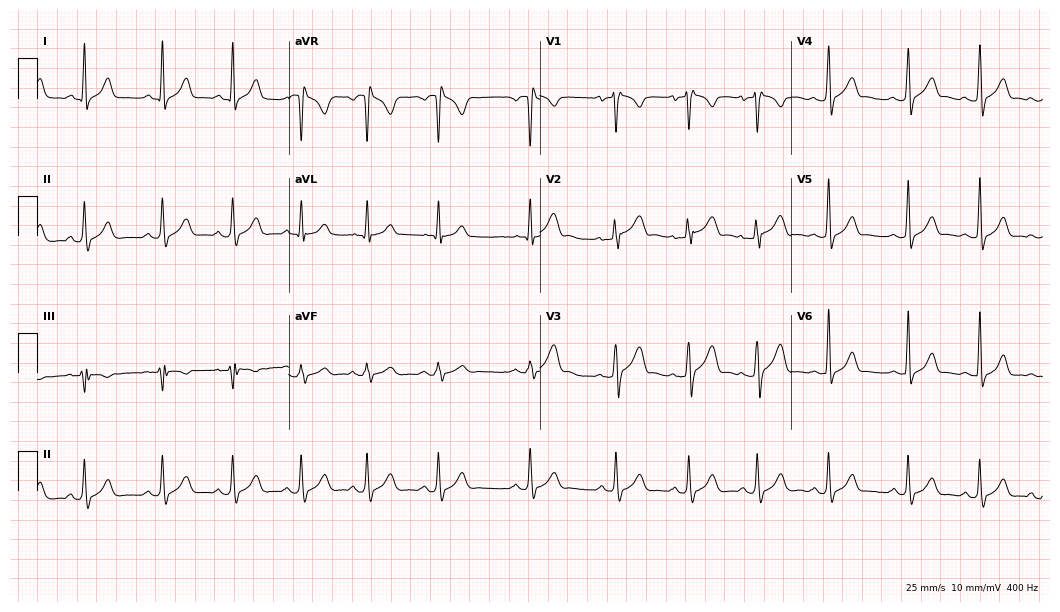
ECG — a male, 17 years old. Screened for six findings — first-degree AV block, right bundle branch block (RBBB), left bundle branch block (LBBB), sinus bradycardia, atrial fibrillation (AF), sinus tachycardia — none is recorded. Findings outside these six are not listed.